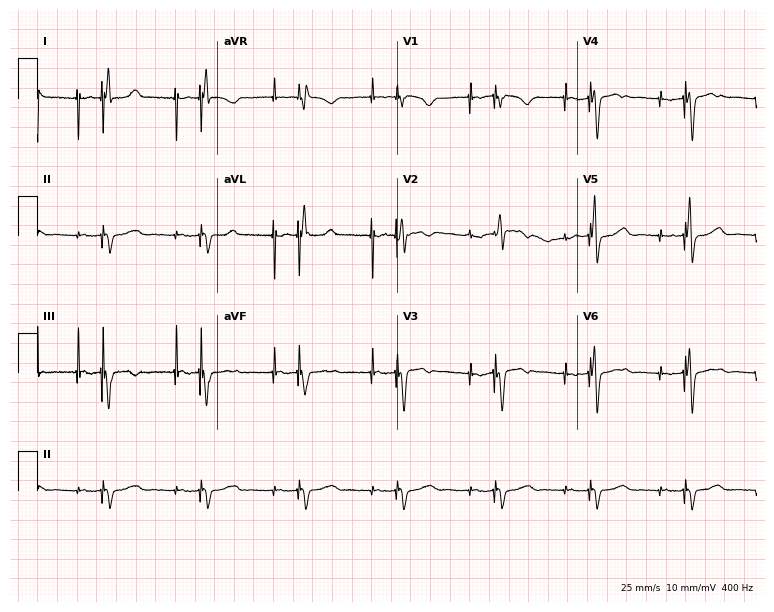
ECG — an 82-year-old male. Screened for six findings — first-degree AV block, right bundle branch block (RBBB), left bundle branch block (LBBB), sinus bradycardia, atrial fibrillation (AF), sinus tachycardia — none is recorded.